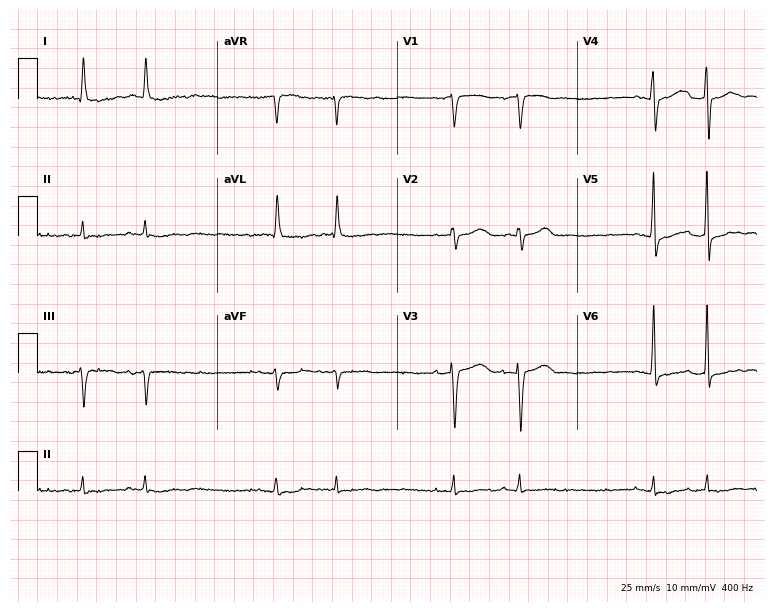
Standard 12-lead ECG recorded from a woman, 80 years old. None of these six findings is recorded: first-degree AV block, right bundle branch block (RBBB), left bundle branch block (LBBB), sinus bradycardia, atrial fibrillation (AF), sinus tachycardia.